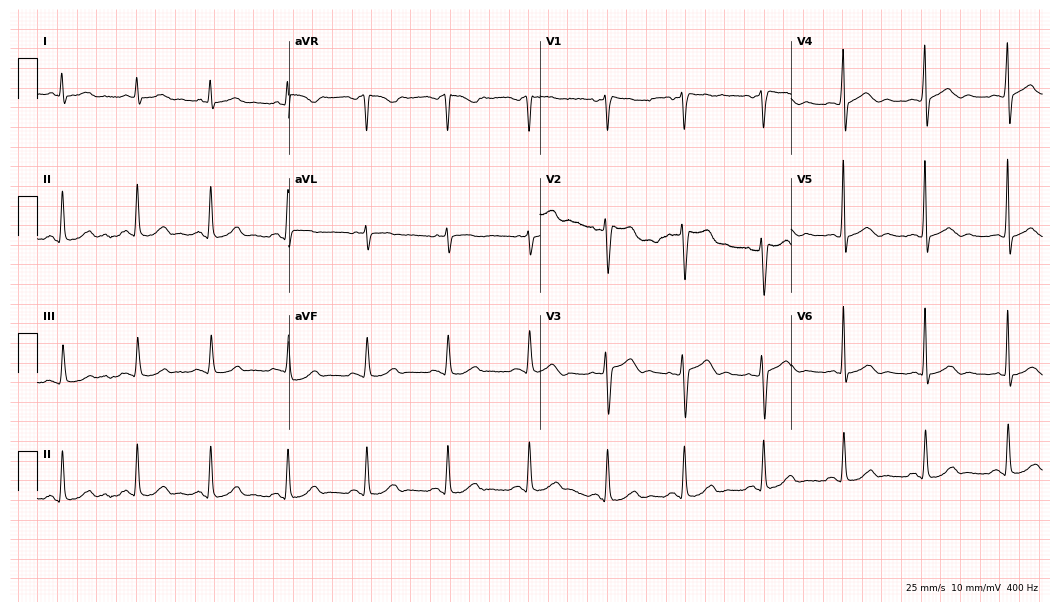
Electrocardiogram (10.2-second recording at 400 Hz), a 62-year-old male. Of the six screened findings (first-degree AV block, right bundle branch block (RBBB), left bundle branch block (LBBB), sinus bradycardia, atrial fibrillation (AF), sinus tachycardia), none is recorded. Only these six findings were labelled.